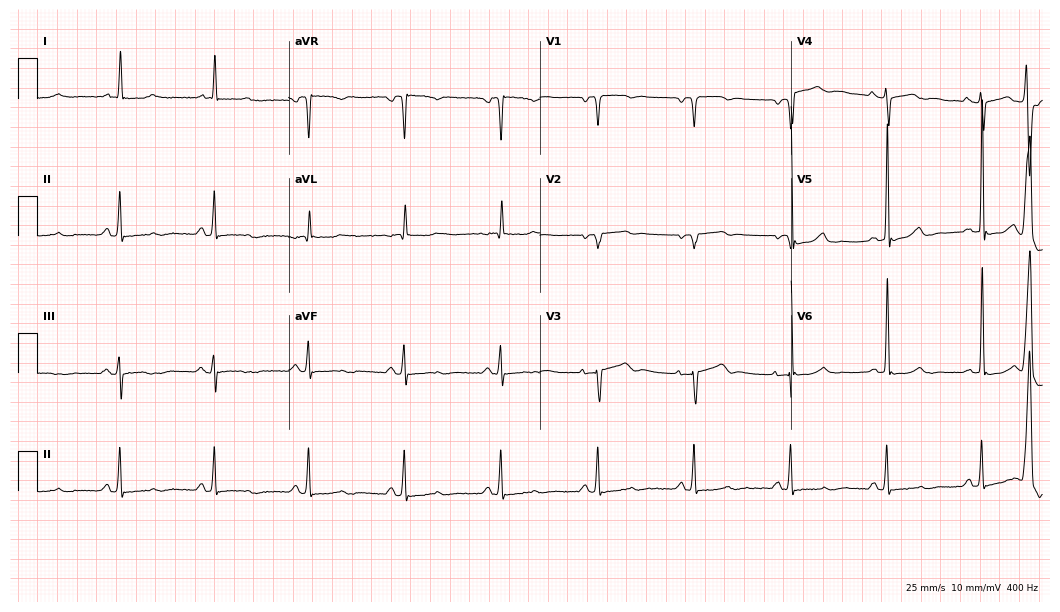
Resting 12-lead electrocardiogram. Patient: a man, 70 years old. None of these six findings is recorded: first-degree AV block, right bundle branch block, left bundle branch block, sinus bradycardia, atrial fibrillation, sinus tachycardia.